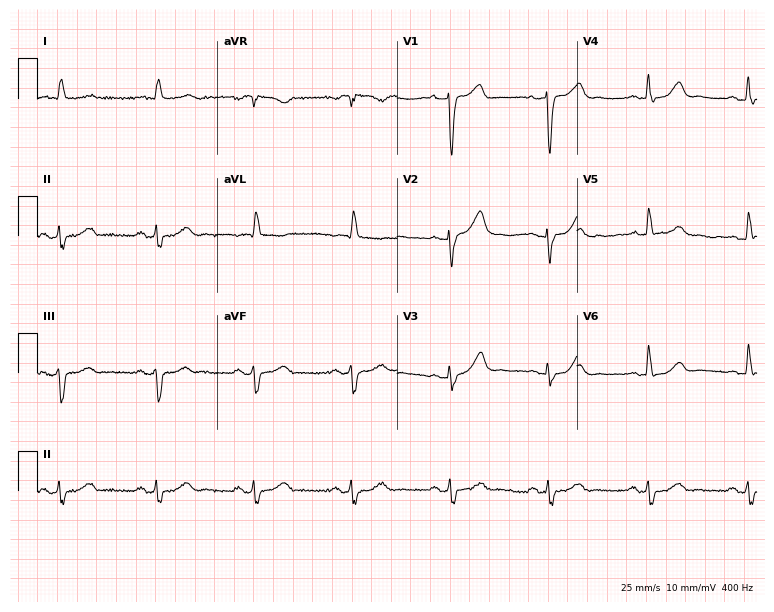
Standard 12-lead ECG recorded from a male, 82 years old (7.3-second recording at 400 Hz). None of these six findings is recorded: first-degree AV block, right bundle branch block, left bundle branch block, sinus bradycardia, atrial fibrillation, sinus tachycardia.